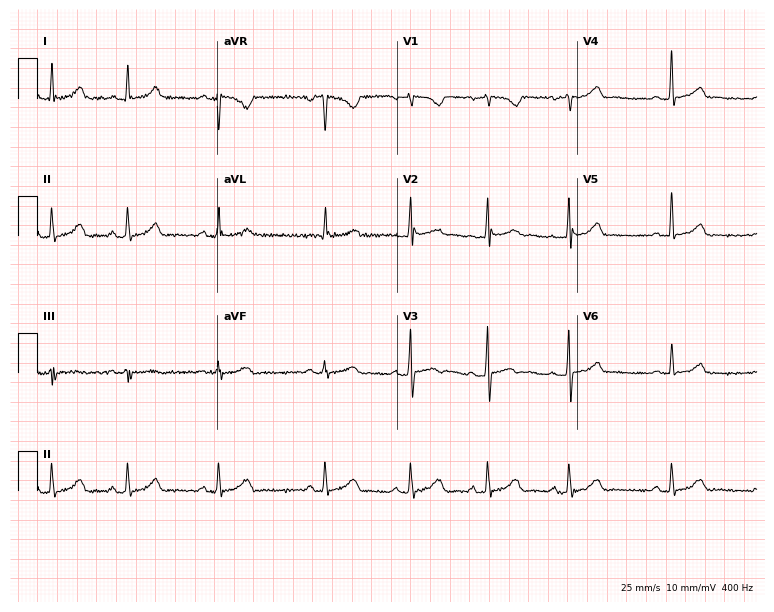
Standard 12-lead ECG recorded from a 23-year-old female. Read as a normal ECG.